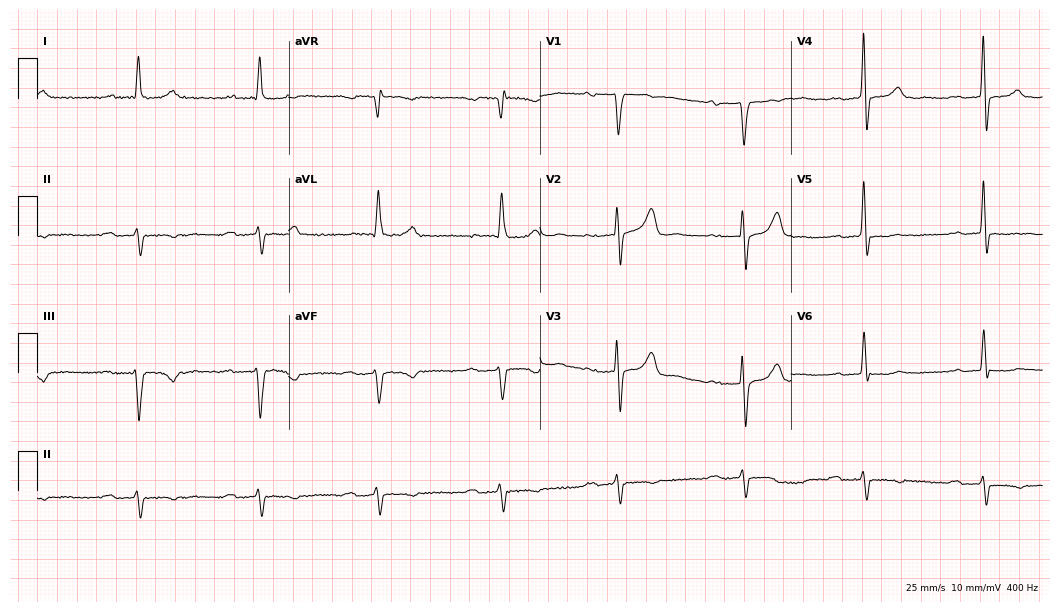
Standard 12-lead ECG recorded from a male patient, 75 years old. The tracing shows first-degree AV block, sinus bradycardia (a sinus rate of 50 beats per minute or less).